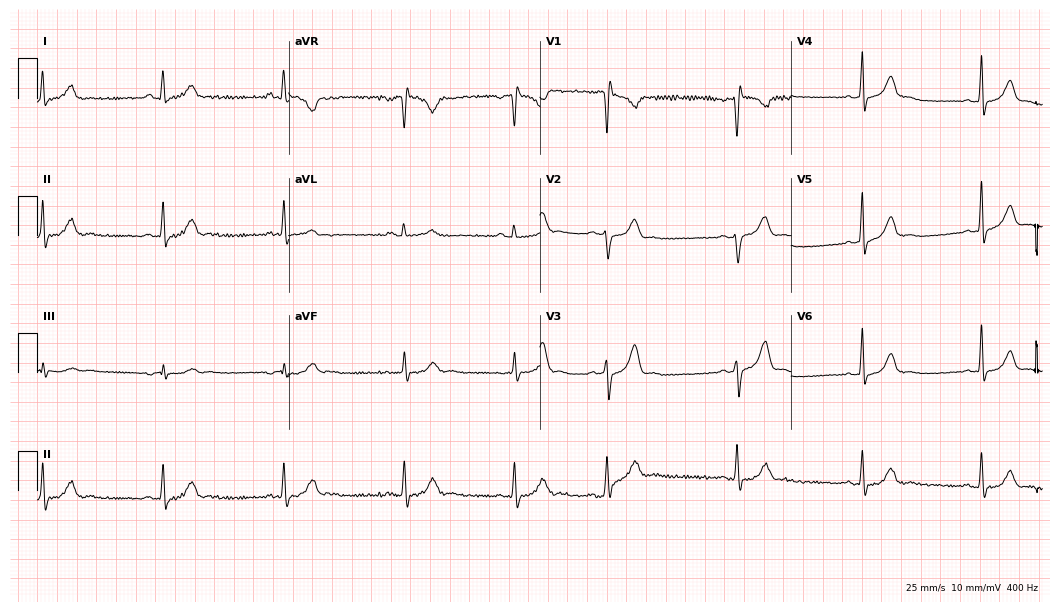
Electrocardiogram (10.2-second recording at 400 Hz), a female, 25 years old. Interpretation includes sinus bradycardia (a sinus rate of 50 beats per minute or less).